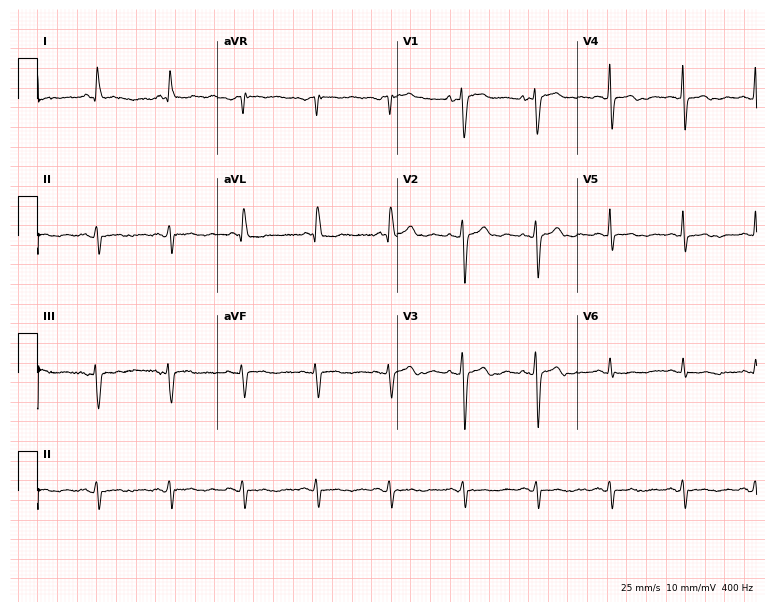
Electrocardiogram, a female, 72 years old. Of the six screened findings (first-degree AV block, right bundle branch block, left bundle branch block, sinus bradycardia, atrial fibrillation, sinus tachycardia), none is recorded. Other findings, if any, are not listed.